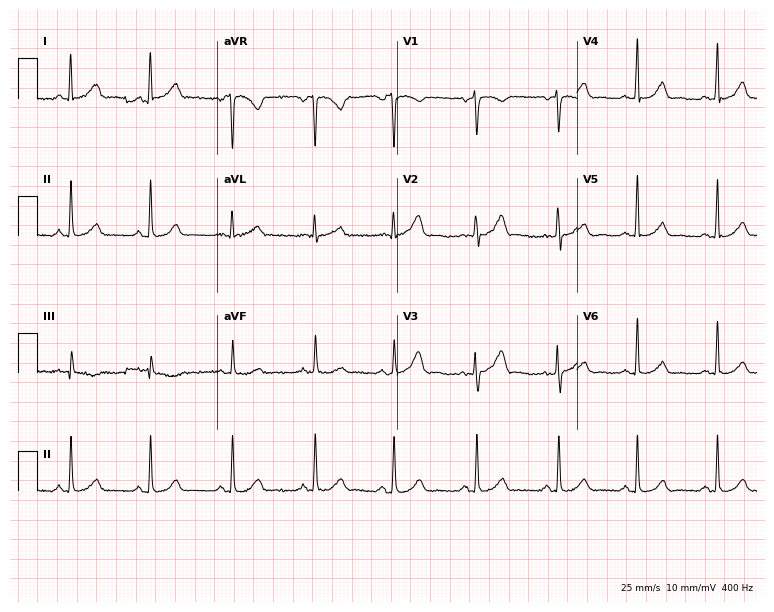
12-lead ECG (7.3-second recording at 400 Hz) from a 39-year-old female patient. Screened for six findings — first-degree AV block, right bundle branch block, left bundle branch block, sinus bradycardia, atrial fibrillation, sinus tachycardia — none is recorded.